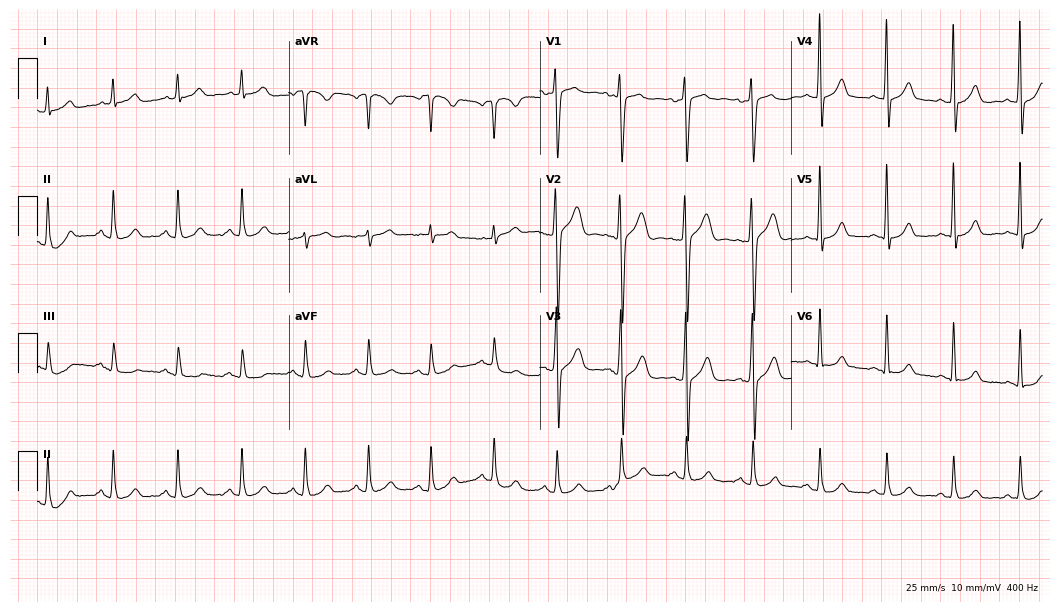
ECG (10.2-second recording at 400 Hz) — a 38-year-old male patient. Labelled as a normal ECG.